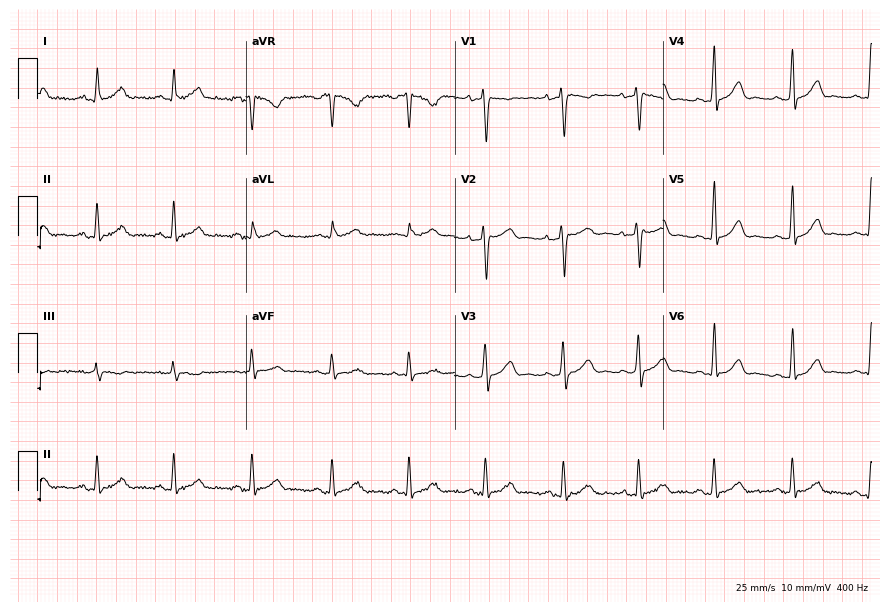
ECG (8.5-second recording at 400 Hz) — a woman, 36 years old. Labelled as a normal ECG.